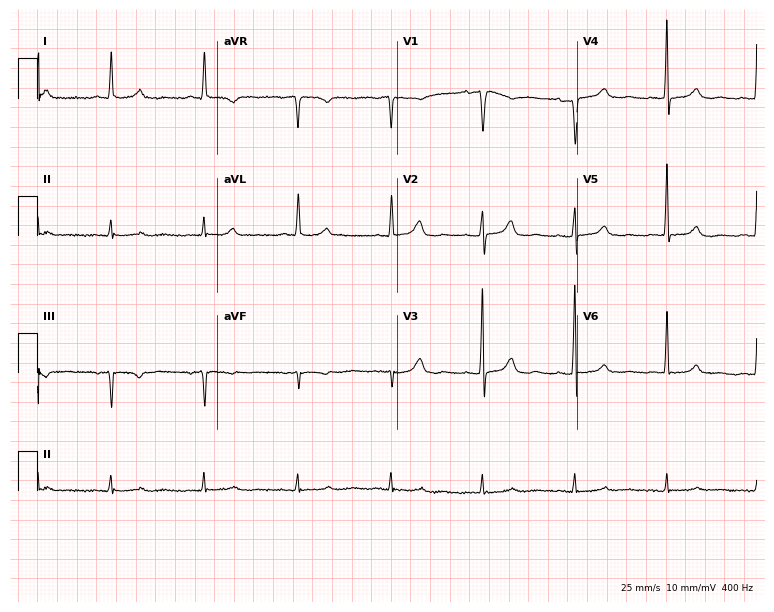
12-lead ECG (7.3-second recording at 400 Hz) from a 73-year-old female patient. Screened for six findings — first-degree AV block, right bundle branch block, left bundle branch block, sinus bradycardia, atrial fibrillation, sinus tachycardia — none is recorded.